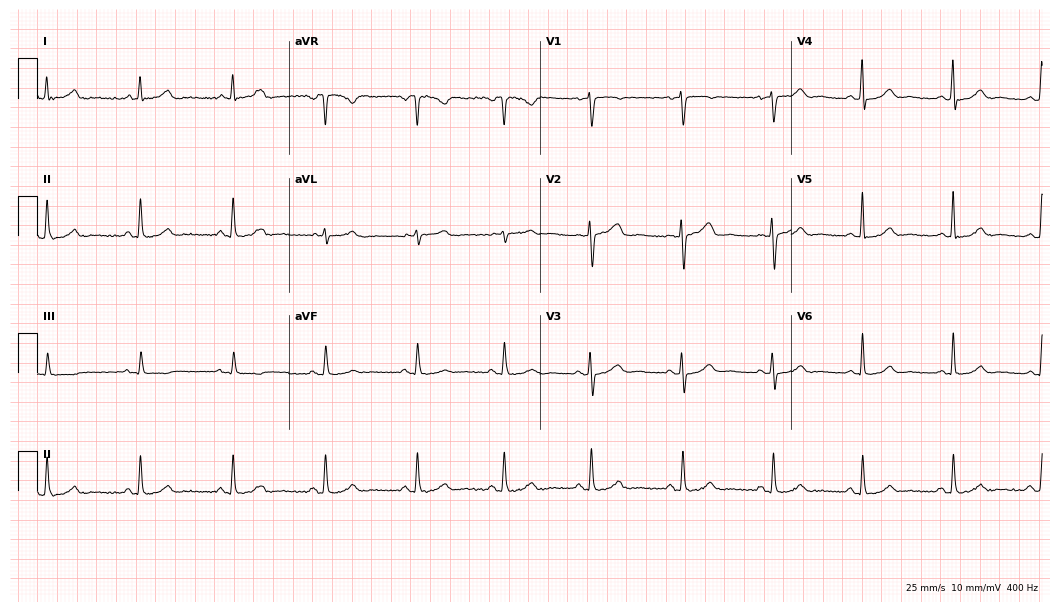
Standard 12-lead ECG recorded from a 37-year-old woman (10.2-second recording at 400 Hz). Read as a normal ECG.